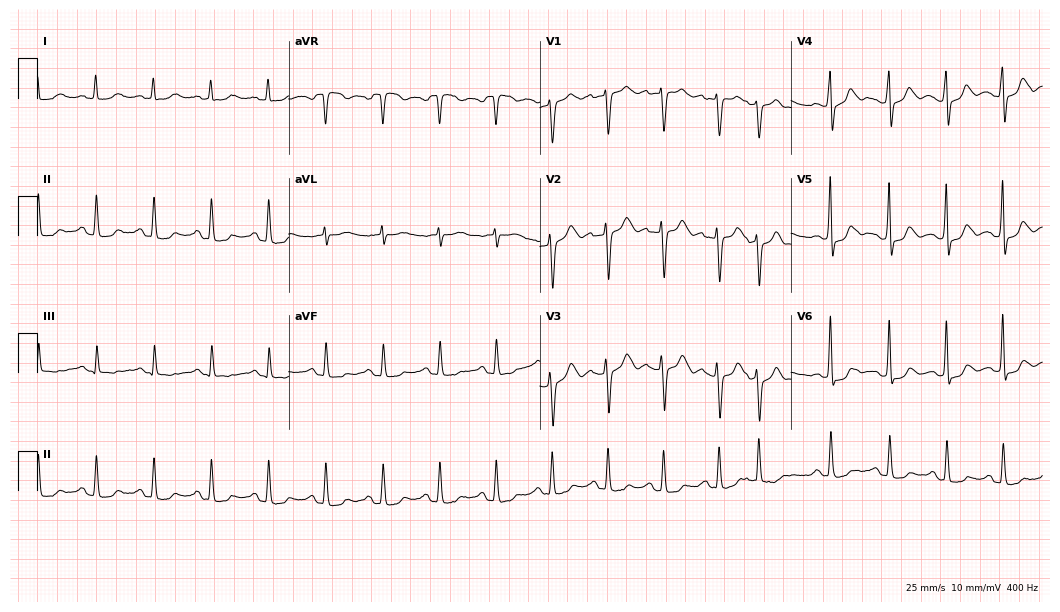
12-lead ECG from a 58-year-old woman (10.2-second recording at 400 Hz). Shows sinus tachycardia (a sinus rate of 100 beats per minute or more).